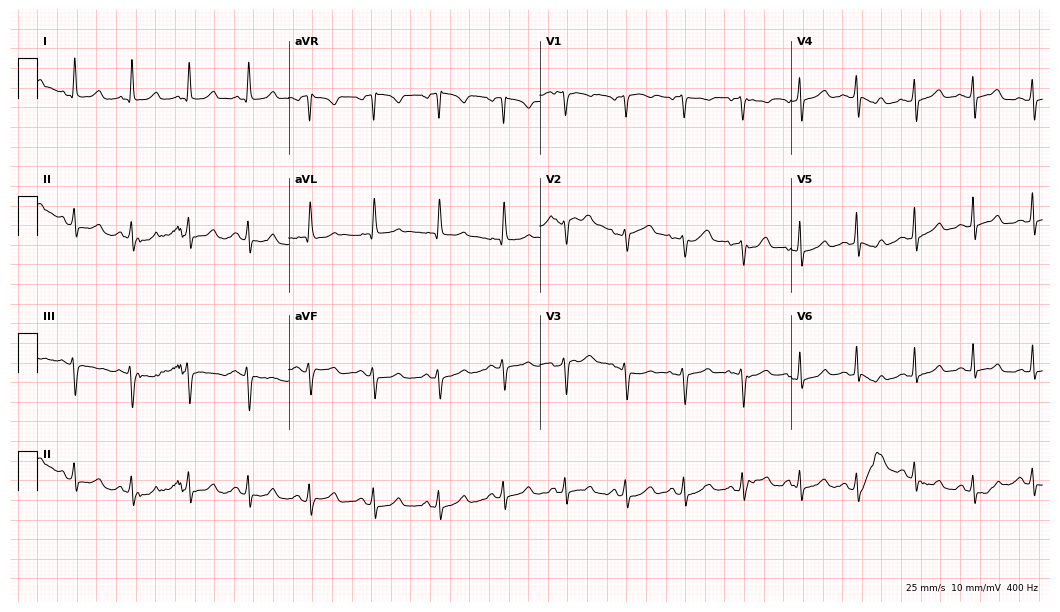
12-lead ECG from a 45-year-old woman. Recorded interpretation: within normal limits.